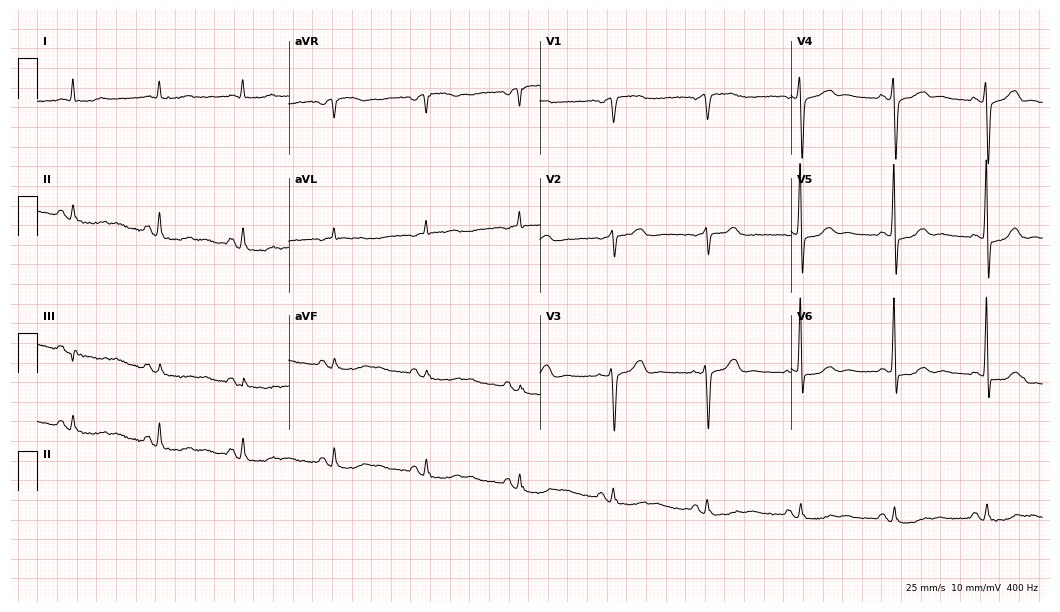
ECG (10.2-second recording at 400 Hz) — a female, 76 years old. Screened for six findings — first-degree AV block, right bundle branch block, left bundle branch block, sinus bradycardia, atrial fibrillation, sinus tachycardia — none is recorded.